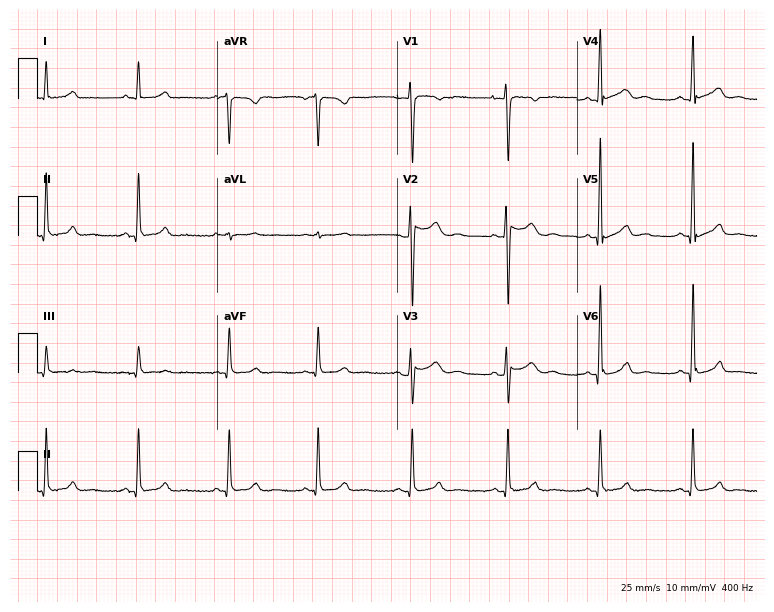
Electrocardiogram (7.3-second recording at 400 Hz), a 33-year-old female. Of the six screened findings (first-degree AV block, right bundle branch block, left bundle branch block, sinus bradycardia, atrial fibrillation, sinus tachycardia), none is recorded.